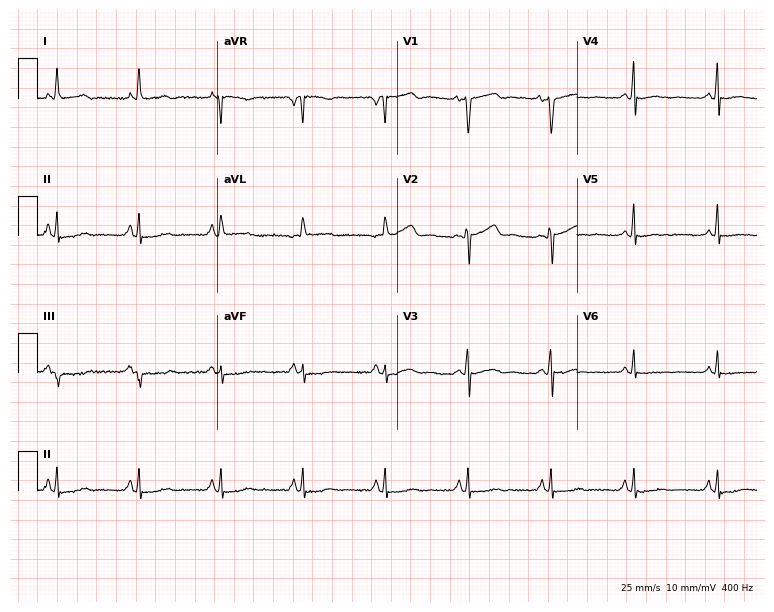
Standard 12-lead ECG recorded from a 58-year-old woman. None of these six findings is recorded: first-degree AV block, right bundle branch block, left bundle branch block, sinus bradycardia, atrial fibrillation, sinus tachycardia. Other findings, if any, are not listed.